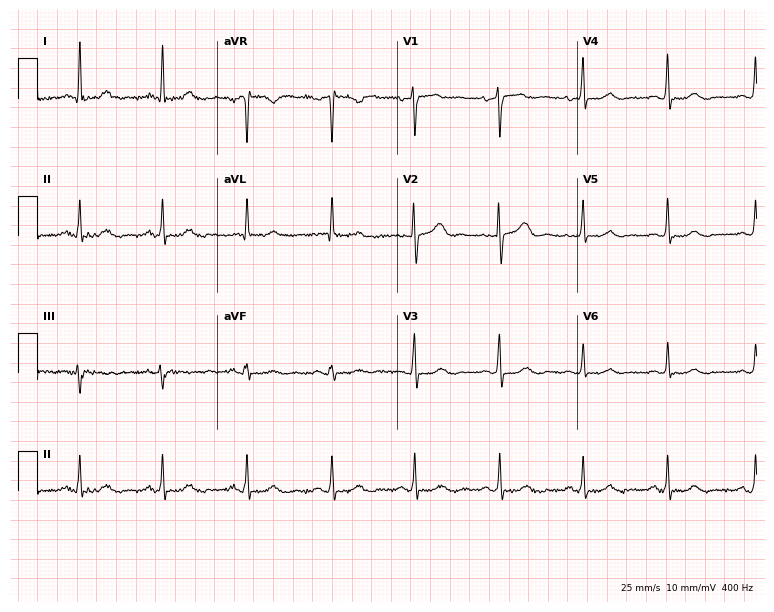
ECG (7.3-second recording at 400 Hz) — a 68-year-old male. Screened for six findings — first-degree AV block, right bundle branch block, left bundle branch block, sinus bradycardia, atrial fibrillation, sinus tachycardia — none is recorded. Other findings, if any, are not listed.